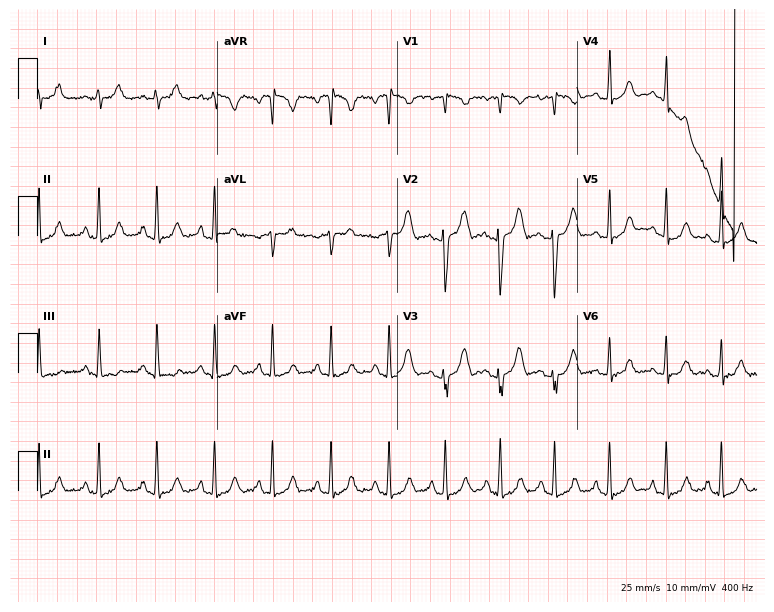
ECG (7.3-second recording at 400 Hz) — a 19-year-old female patient. Labelled as a normal ECG.